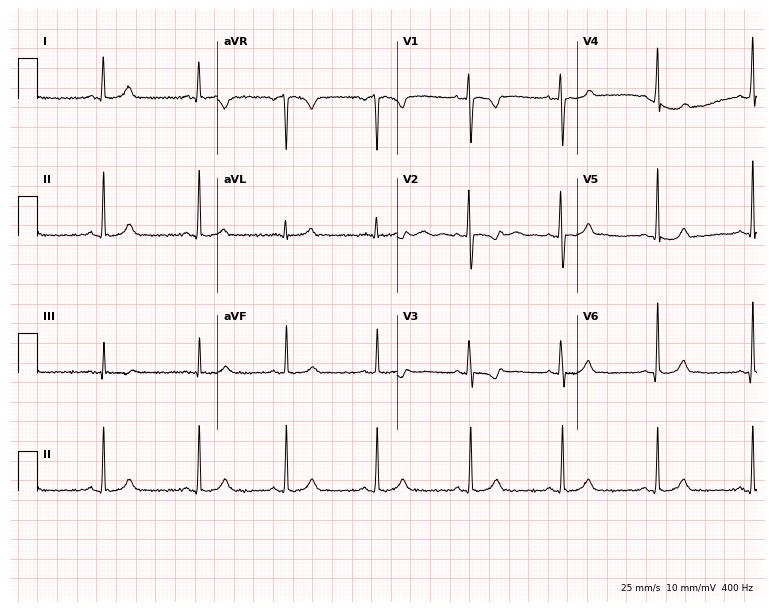
Standard 12-lead ECG recorded from a female, 19 years old (7.3-second recording at 400 Hz). None of these six findings is recorded: first-degree AV block, right bundle branch block, left bundle branch block, sinus bradycardia, atrial fibrillation, sinus tachycardia.